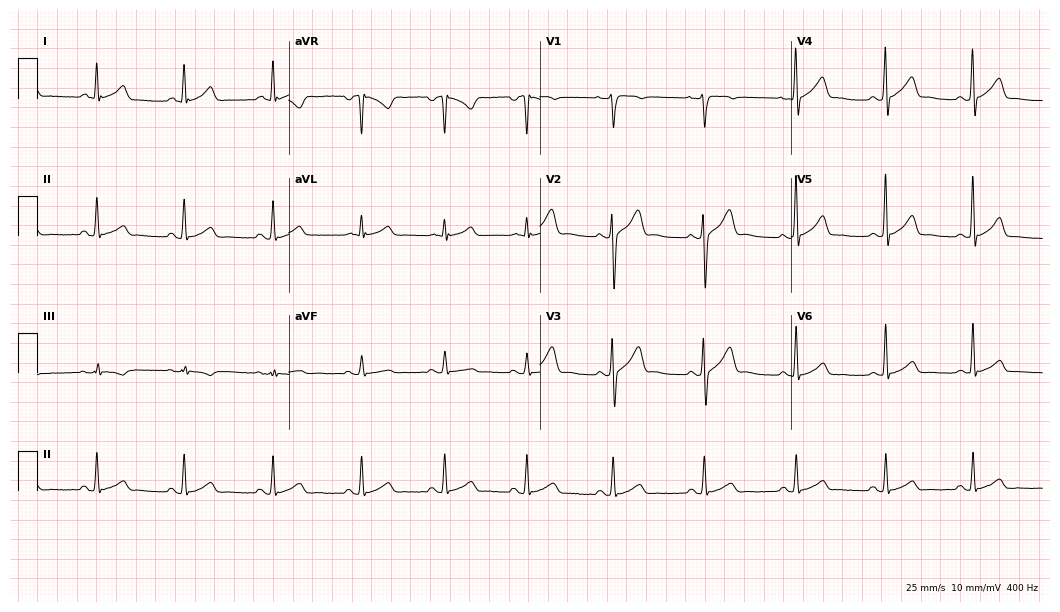
12-lead ECG from a 39-year-old male (10.2-second recording at 400 Hz). No first-degree AV block, right bundle branch block, left bundle branch block, sinus bradycardia, atrial fibrillation or sinus tachycardia recorded for this tracing.